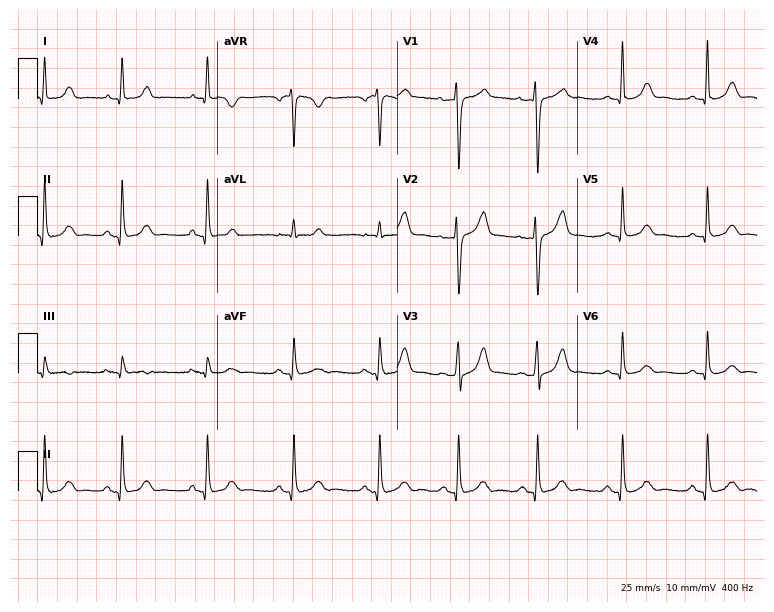
Electrocardiogram (7.3-second recording at 400 Hz), a 37-year-old female patient. Overall reading on record: normal ECG.